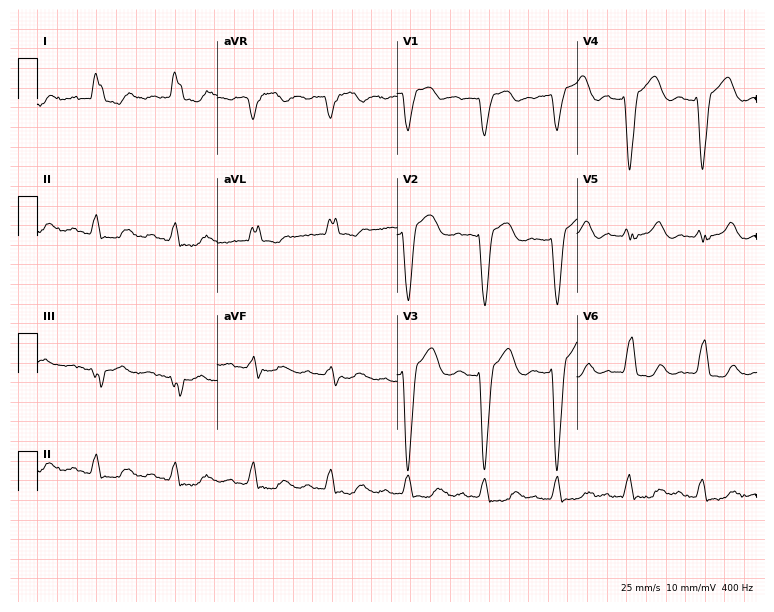
Electrocardiogram (7.3-second recording at 400 Hz), a 68-year-old female patient. Interpretation includes left bundle branch block.